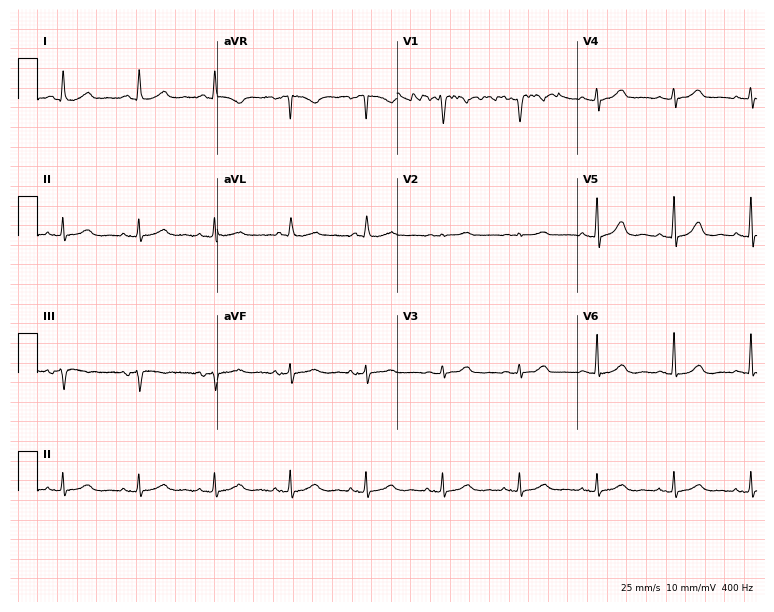
12-lead ECG from a female, 80 years old. No first-degree AV block, right bundle branch block (RBBB), left bundle branch block (LBBB), sinus bradycardia, atrial fibrillation (AF) or sinus tachycardia recorded for this tracing. Other findings, if any, are not listed.